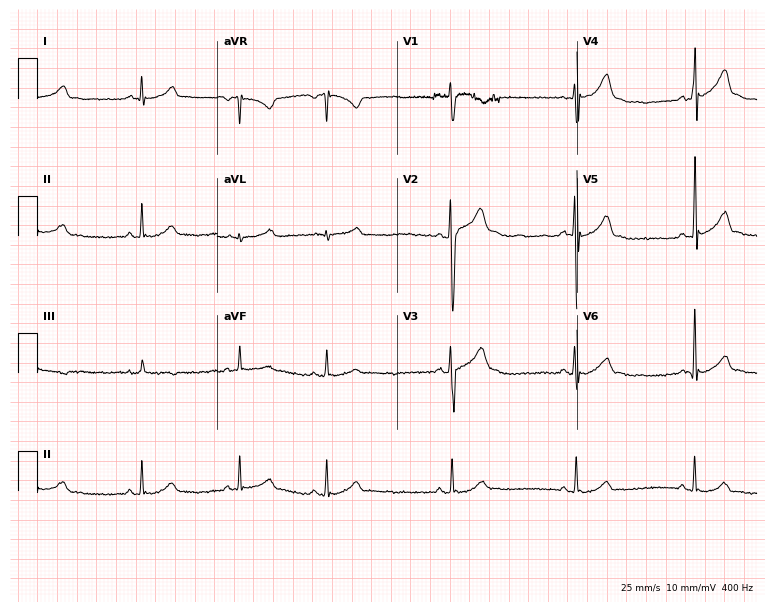
Resting 12-lead electrocardiogram. Patient: a male, 35 years old. Read as a normal ECG.